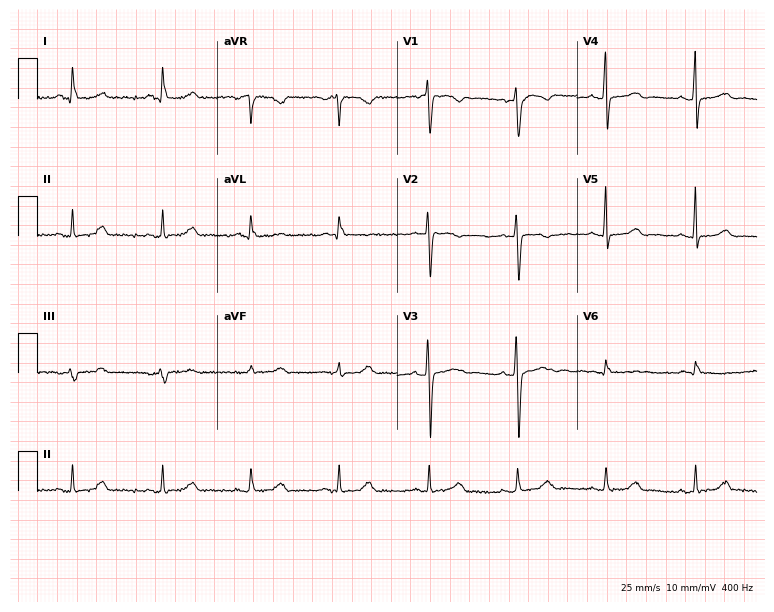
12-lead ECG (7.3-second recording at 400 Hz) from a woman, 68 years old. Screened for six findings — first-degree AV block, right bundle branch block, left bundle branch block, sinus bradycardia, atrial fibrillation, sinus tachycardia — none is recorded. Only these six findings were labelled.